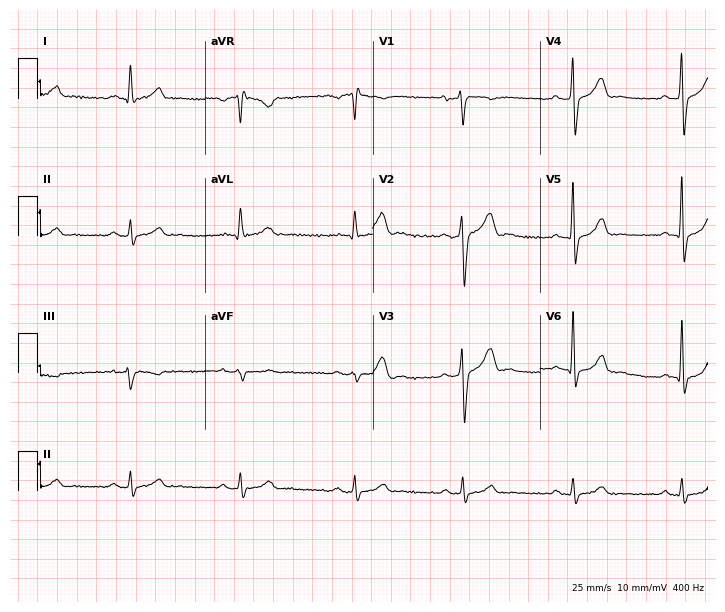
12-lead ECG from a 46-year-old male. Screened for six findings — first-degree AV block, right bundle branch block, left bundle branch block, sinus bradycardia, atrial fibrillation, sinus tachycardia — none is recorded.